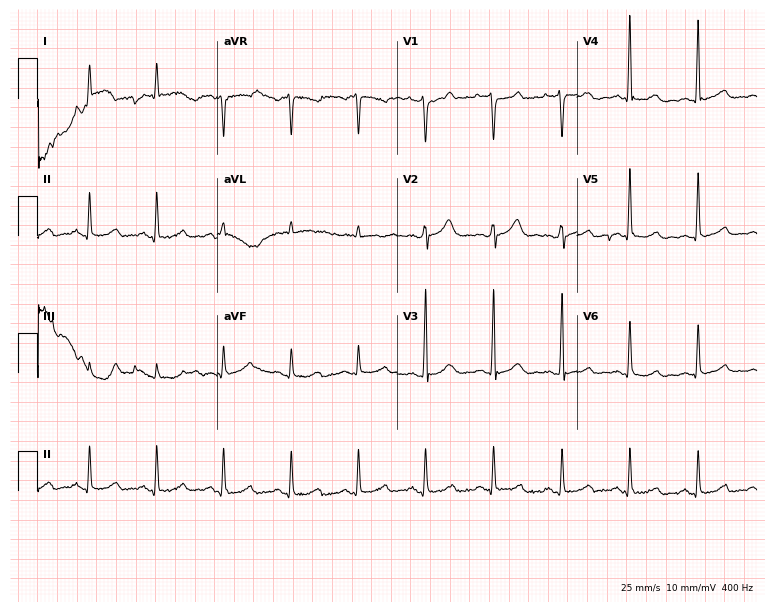
Standard 12-lead ECG recorded from a 61-year-old male patient (7.3-second recording at 400 Hz). Read as a normal ECG.